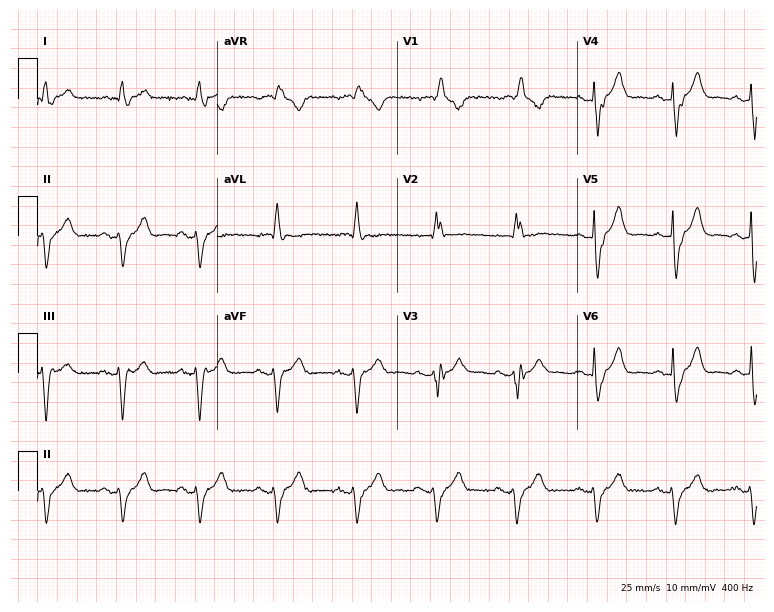
12-lead ECG from a male patient, 71 years old. Shows right bundle branch block (RBBB).